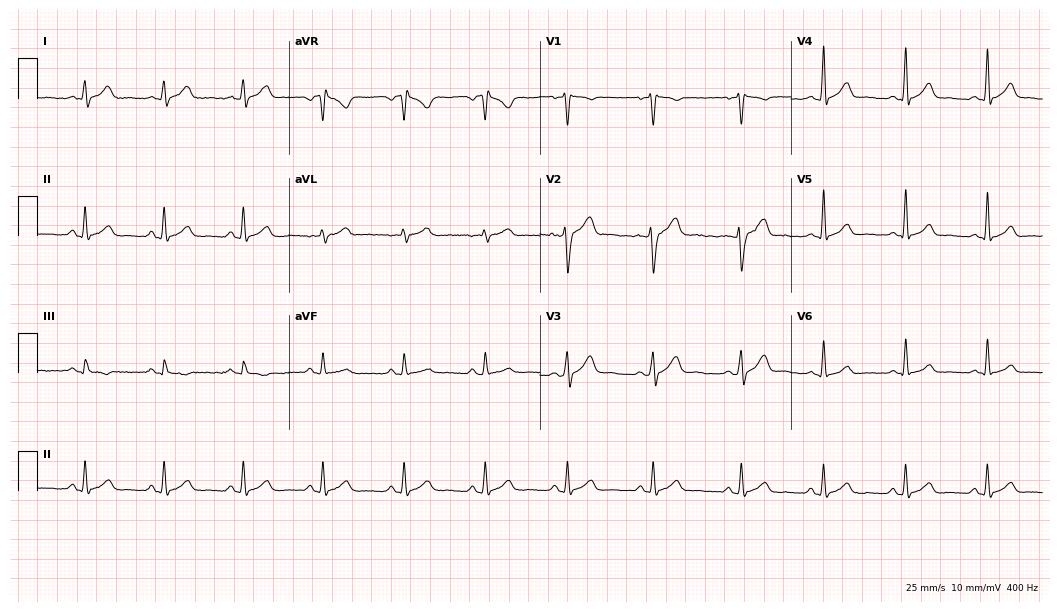
ECG (10.2-second recording at 400 Hz) — a 29-year-old man. Labelled as a normal ECG.